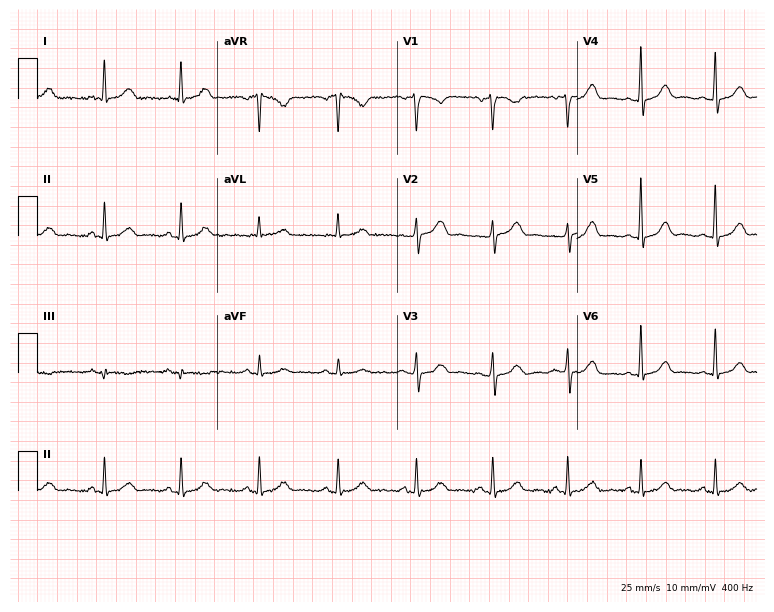
Electrocardiogram, a 61-year-old woman. Of the six screened findings (first-degree AV block, right bundle branch block, left bundle branch block, sinus bradycardia, atrial fibrillation, sinus tachycardia), none is recorded.